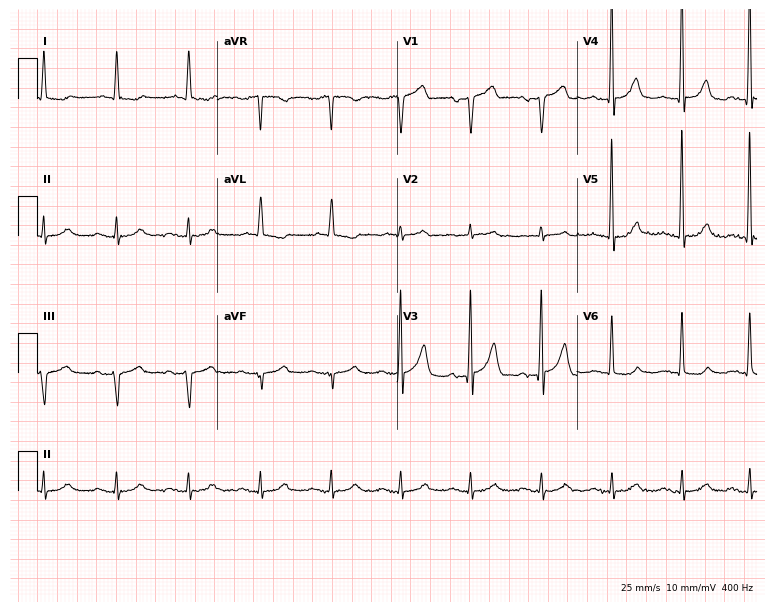
Resting 12-lead electrocardiogram. Patient: a 63-year-old man. The tracing shows first-degree AV block.